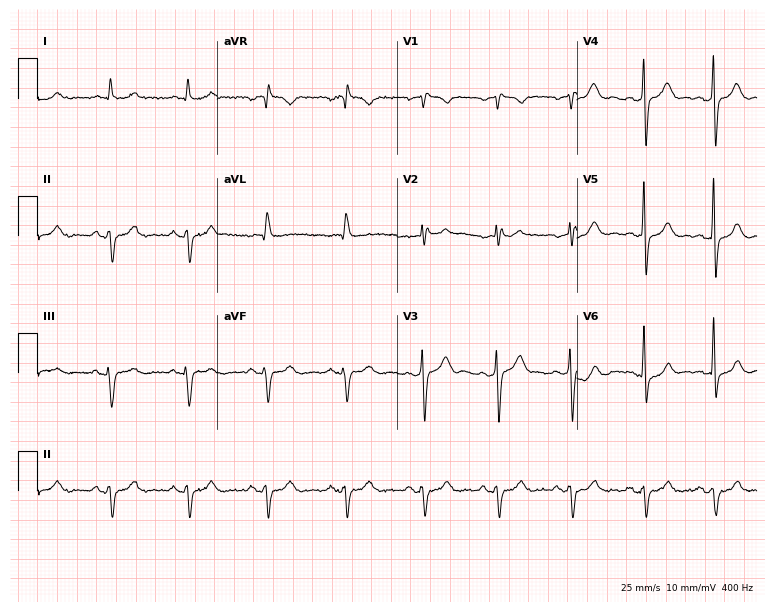
Standard 12-lead ECG recorded from a 62-year-old male patient (7.3-second recording at 400 Hz). None of these six findings is recorded: first-degree AV block, right bundle branch block, left bundle branch block, sinus bradycardia, atrial fibrillation, sinus tachycardia.